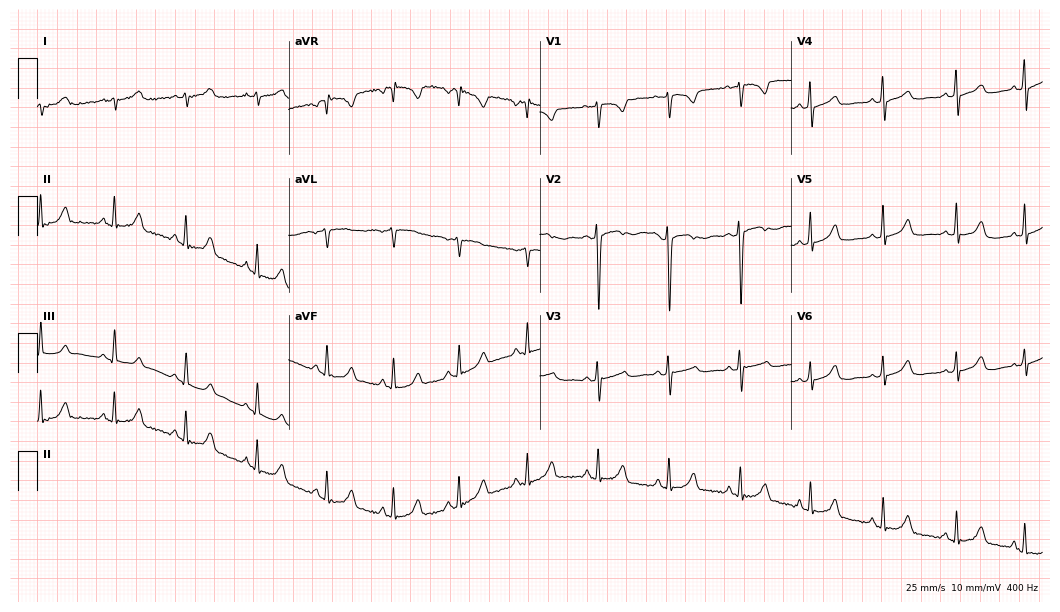
ECG — a female, 36 years old. Screened for six findings — first-degree AV block, right bundle branch block (RBBB), left bundle branch block (LBBB), sinus bradycardia, atrial fibrillation (AF), sinus tachycardia — none is recorded. Other findings, if any, are not listed.